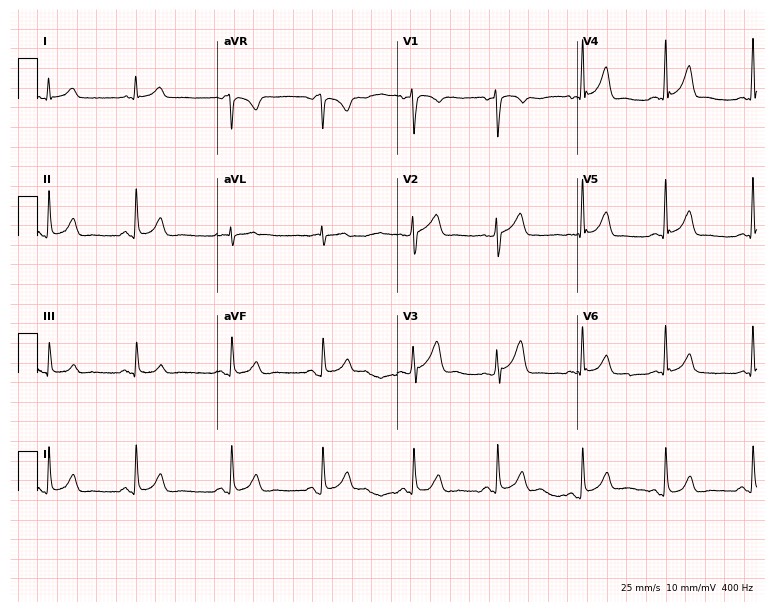
Electrocardiogram (7.3-second recording at 400 Hz), a male, 68 years old. Overall reading on record: normal ECG.